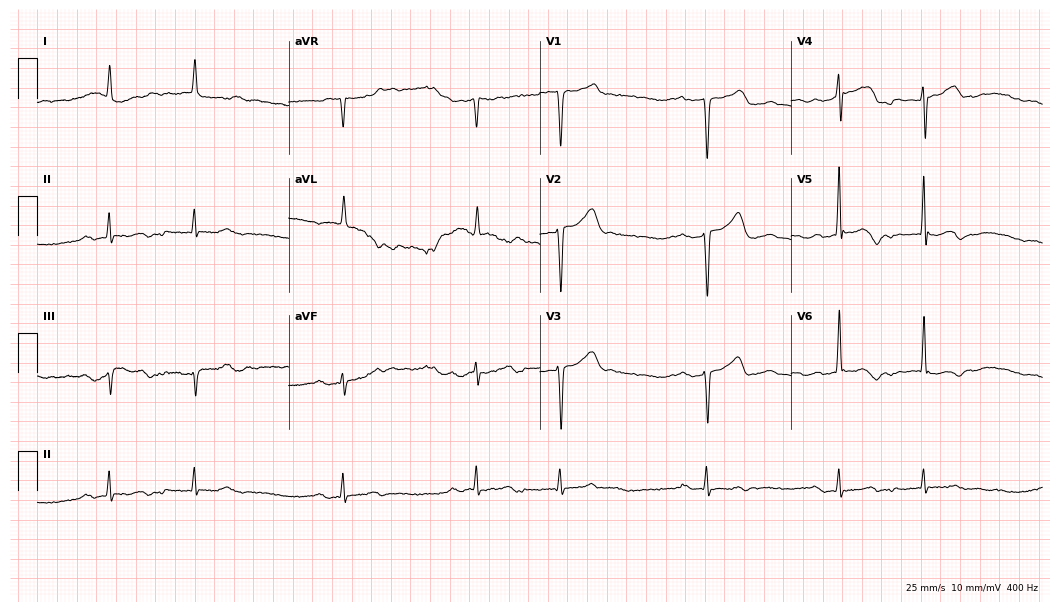
Electrocardiogram, a female, 72 years old. Interpretation includes first-degree AV block, sinus bradycardia (a sinus rate of 50 beats per minute or less).